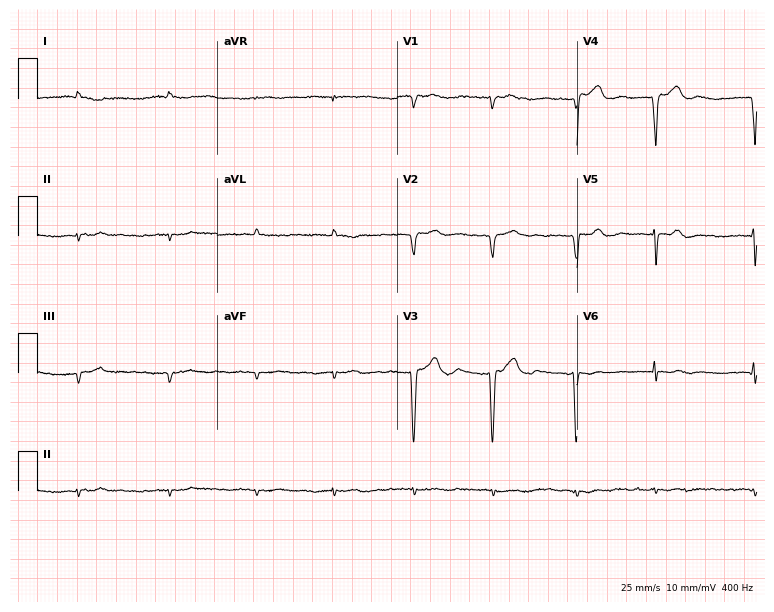
12-lead ECG from a male, 81 years old (7.3-second recording at 400 Hz). No first-degree AV block, right bundle branch block, left bundle branch block, sinus bradycardia, atrial fibrillation or sinus tachycardia recorded for this tracing. Only these six findings were labelled.